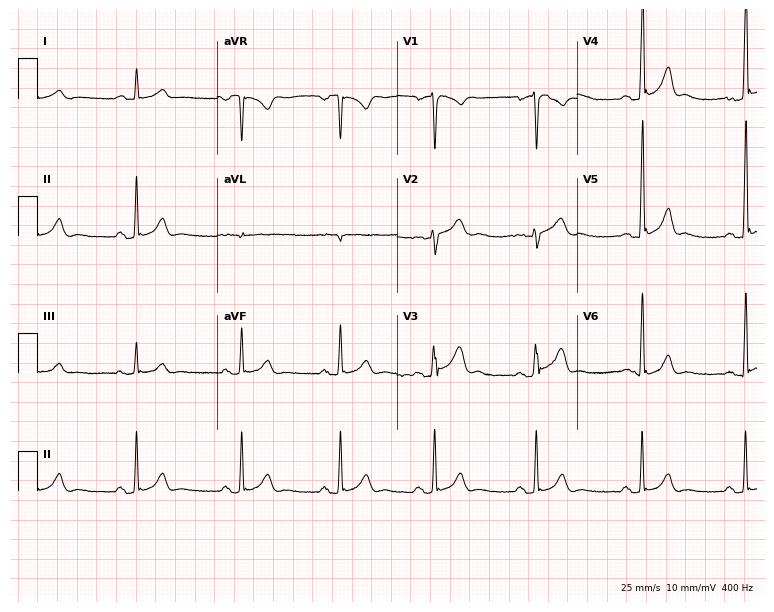
Electrocardiogram, a 28-year-old man. Overall reading on record: normal ECG.